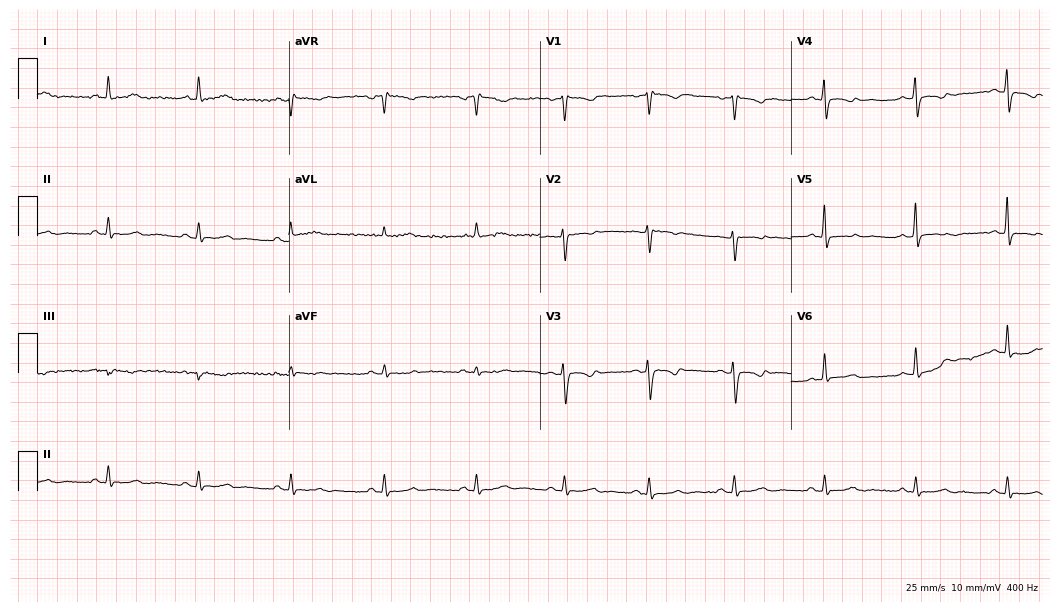
12-lead ECG from a female, 45 years old. Screened for six findings — first-degree AV block, right bundle branch block (RBBB), left bundle branch block (LBBB), sinus bradycardia, atrial fibrillation (AF), sinus tachycardia — none is recorded.